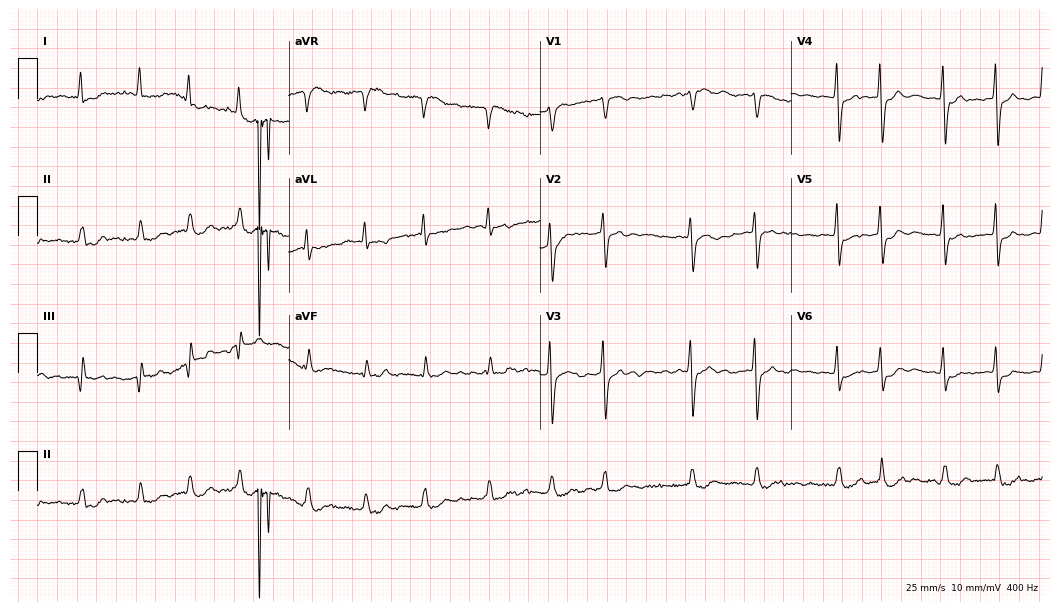
Standard 12-lead ECG recorded from a female patient, 81 years old (10.2-second recording at 400 Hz). The tracing shows atrial fibrillation.